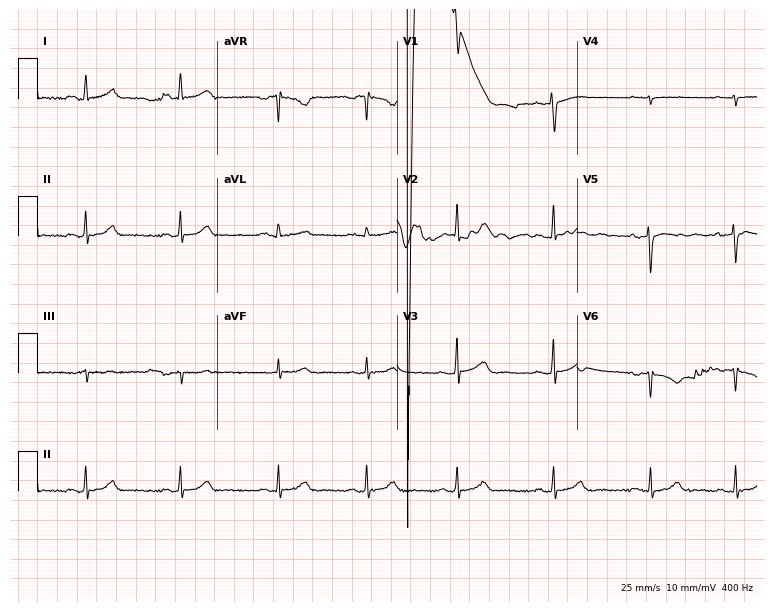
Resting 12-lead electrocardiogram (7.3-second recording at 400 Hz). Patient: a female, 36 years old. None of these six findings is recorded: first-degree AV block, right bundle branch block (RBBB), left bundle branch block (LBBB), sinus bradycardia, atrial fibrillation (AF), sinus tachycardia.